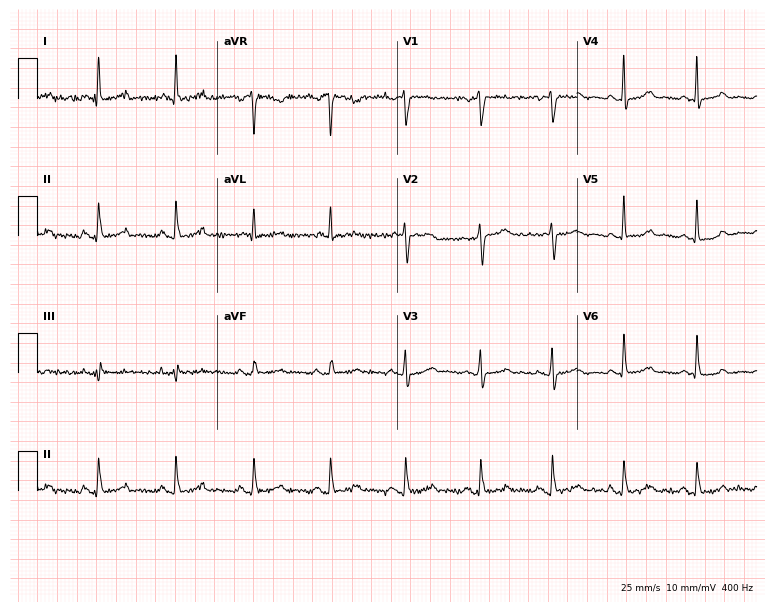
ECG (7.3-second recording at 400 Hz) — a 48-year-old woman. Screened for six findings — first-degree AV block, right bundle branch block (RBBB), left bundle branch block (LBBB), sinus bradycardia, atrial fibrillation (AF), sinus tachycardia — none is recorded.